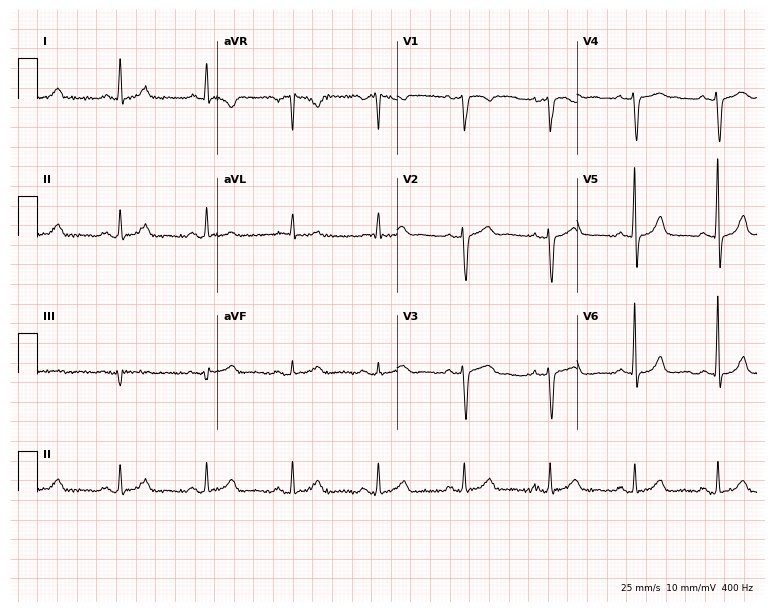
Resting 12-lead electrocardiogram (7.3-second recording at 400 Hz). Patient: a 60-year-old female. Read as a normal ECG.